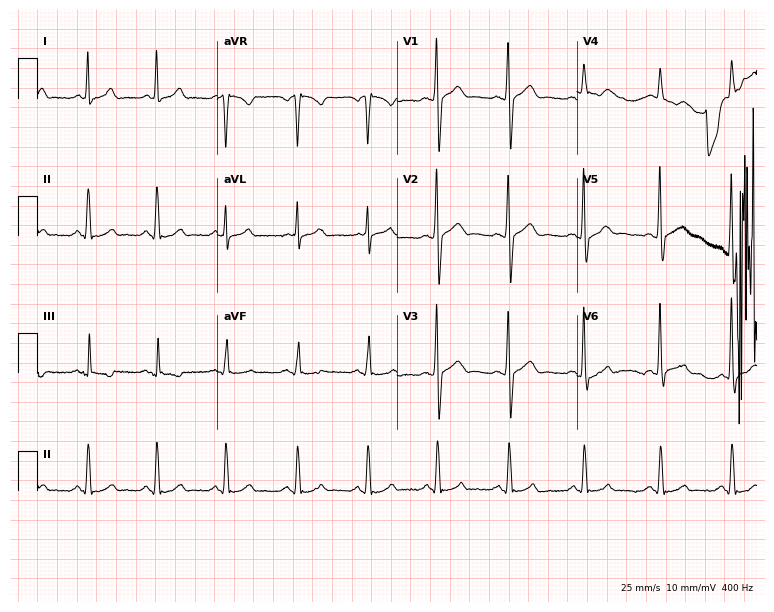
Resting 12-lead electrocardiogram. Patient: a 40-year-old man. None of these six findings is recorded: first-degree AV block, right bundle branch block, left bundle branch block, sinus bradycardia, atrial fibrillation, sinus tachycardia. Findings outside these six are not listed.